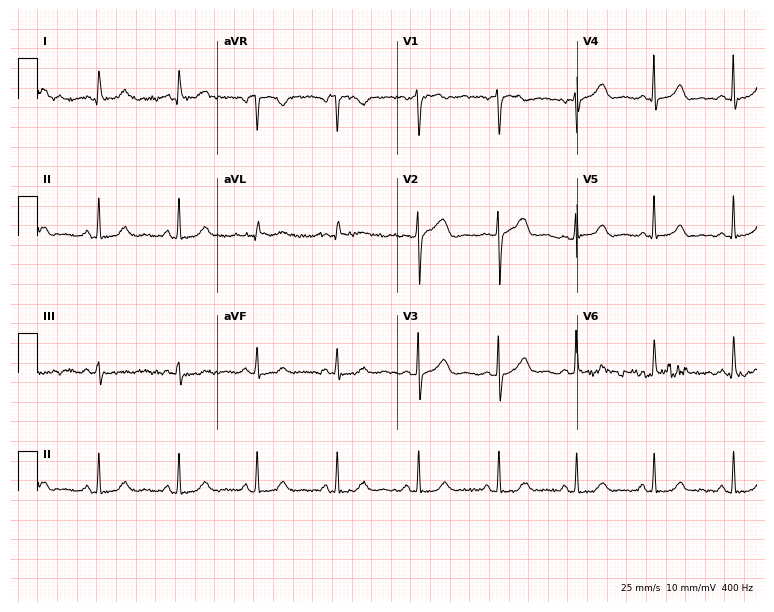
12-lead ECG from a woman, 50 years old. No first-degree AV block, right bundle branch block (RBBB), left bundle branch block (LBBB), sinus bradycardia, atrial fibrillation (AF) or sinus tachycardia recorded for this tracing. Only these six findings were labelled.